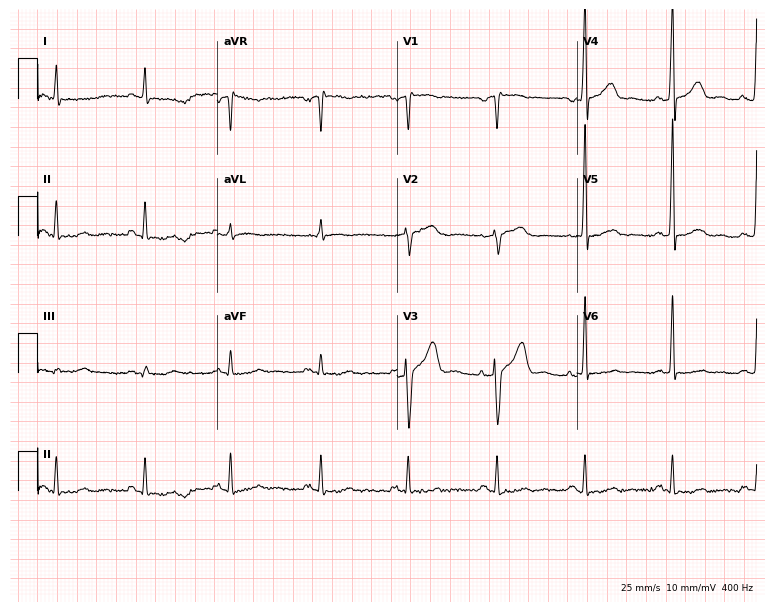
Electrocardiogram (7.3-second recording at 400 Hz), a 56-year-old male patient. Of the six screened findings (first-degree AV block, right bundle branch block (RBBB), left bundle branch block (LBBB), sinus bradycardia, atrial fibrillation (AF), sinus tachycardia), none is recorded.